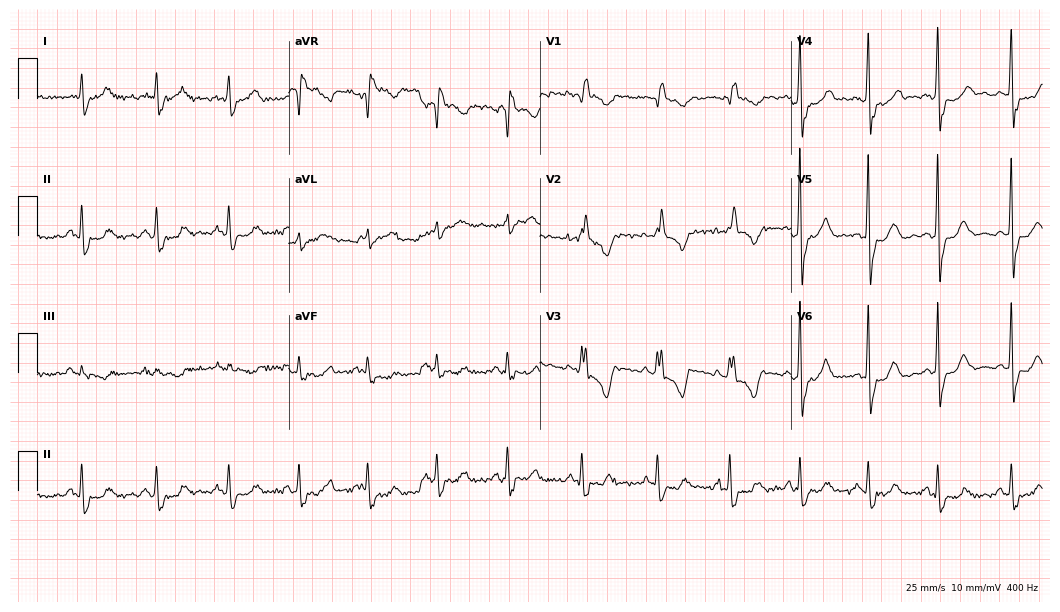
12-lead ECG from a 57-year-old woman (10.2-second recording at 400 Hz). Shows right bundle branch block.